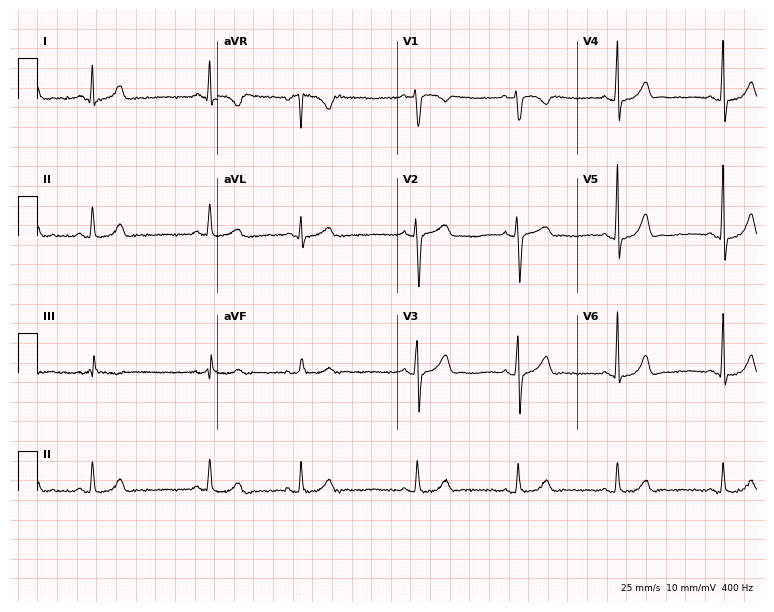
Standard 12-lead ECG recorded from a 28-year-old female. Read as a normal ECG.